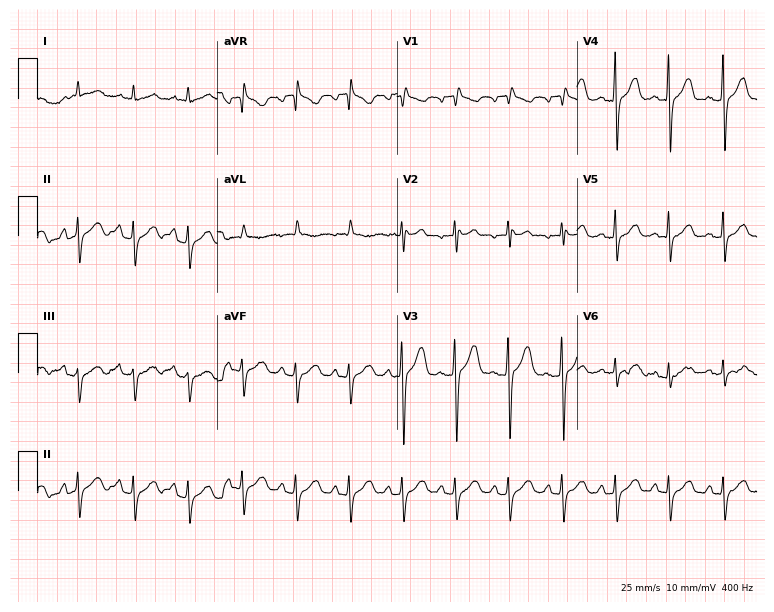
12-lead ECG (7.3-second recording at 400 Hz) from a male, 50 years old. Findings include sinus tachycardia (a sinus rate of 100 beats per minute or more).